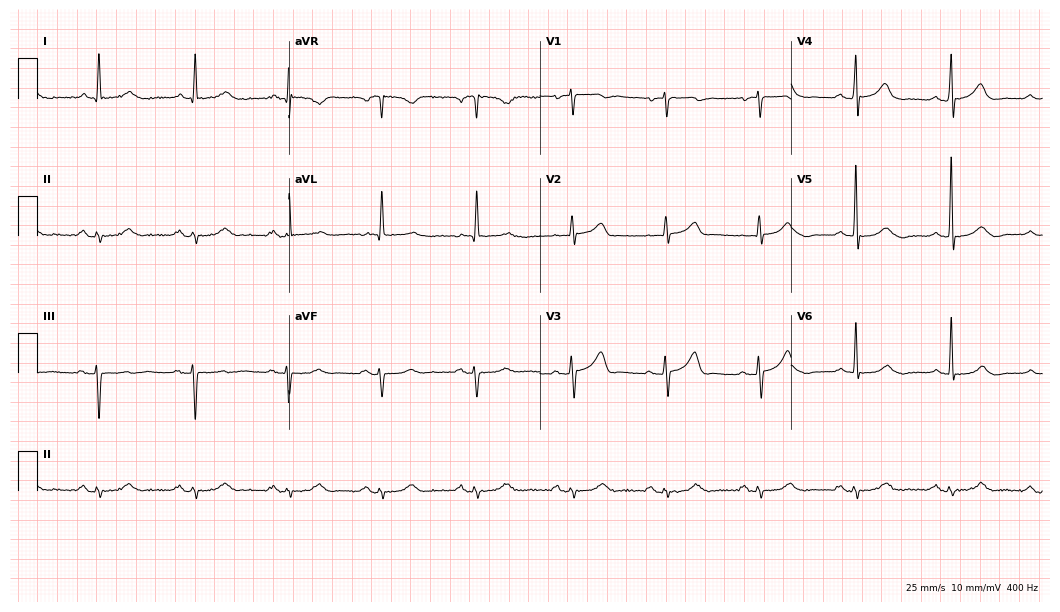
Electrocardiogram (10.2-second recording at 400 Hz), a 72-year-old male. Of the six screened findings (first-degree AV block, right bundle branch block (RBBB), left bundle branch block (LBBB), sinus bradycardia, atrial fibrillation (AF), sinus tachycardia), none is recorded. Other findings, if any, are not listed.